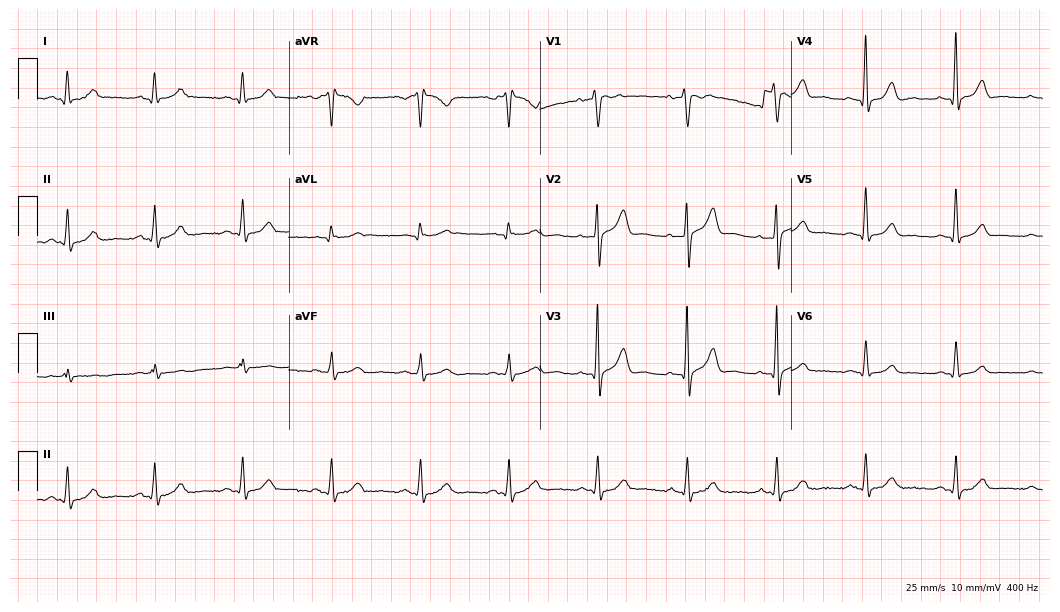
12-lead ECG (10.2-second recording at 400 Hz) from a 51-year-old male. Screened for six findings — first-degree AV block, right bundle branch block (RBBB), left bundle branch block (LBBB), sinus bradycardia, atrial fibrillation (AF), sinus tachycardia — none is recorded.